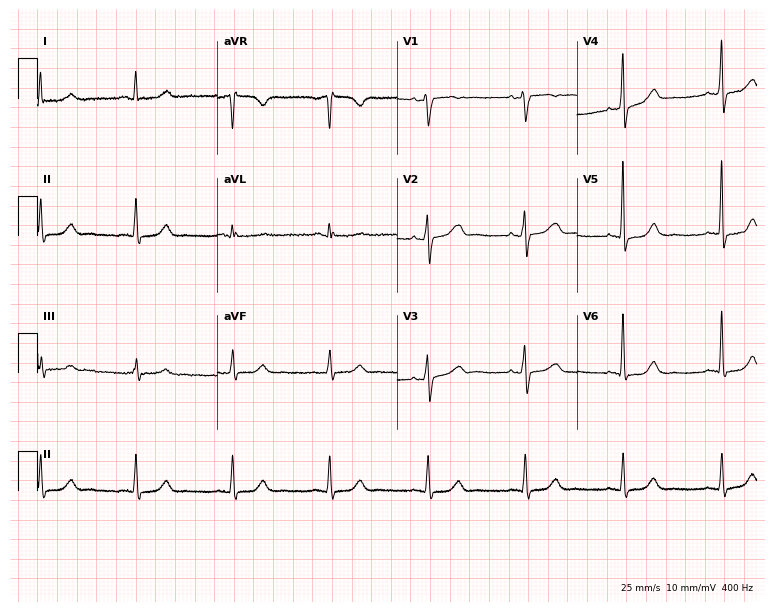
12-lead ECG from a 66-year-old woman. Labelled as a normal ECG.